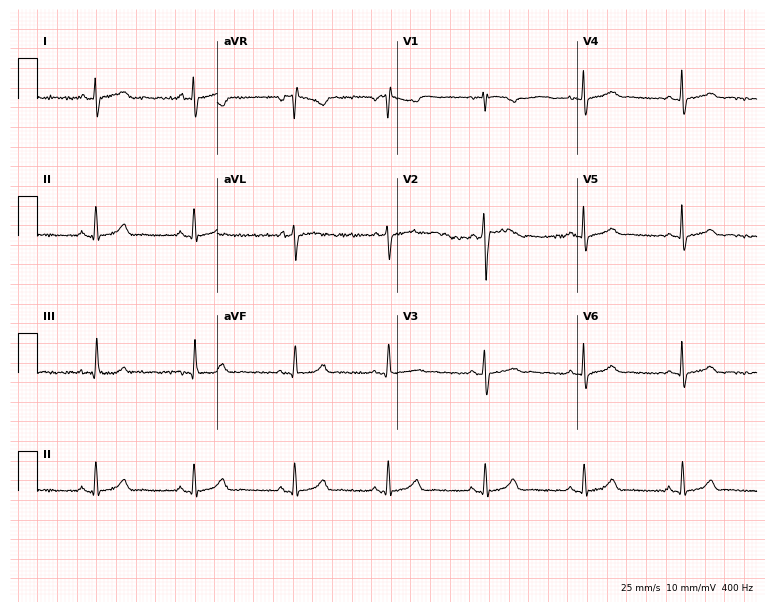
12-lead ECG from a 42-year-old female patient (7.3-second recording at 400 Hz). No first-degree AV block, right bundle branch block, left bundle branch block, sinus bradycardia, atrial fibrillation or sinus tachycardia recorded for this tracing. Only these six findings were labelled.